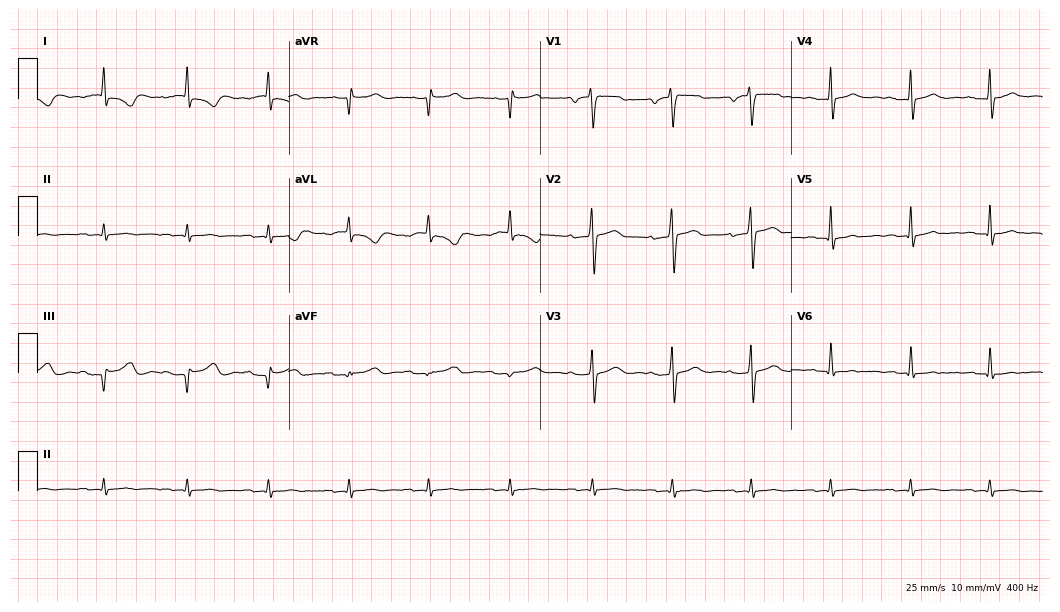
Standard 12-lead ECG recorded from a 67-year-old male. None of these six findings is recorded: first-degree AV block, right bundle branch block, left bundle branch block, sinus bradycardia, atrial fibrillation, sinus tachycardia. Findings outside these six are not listed.